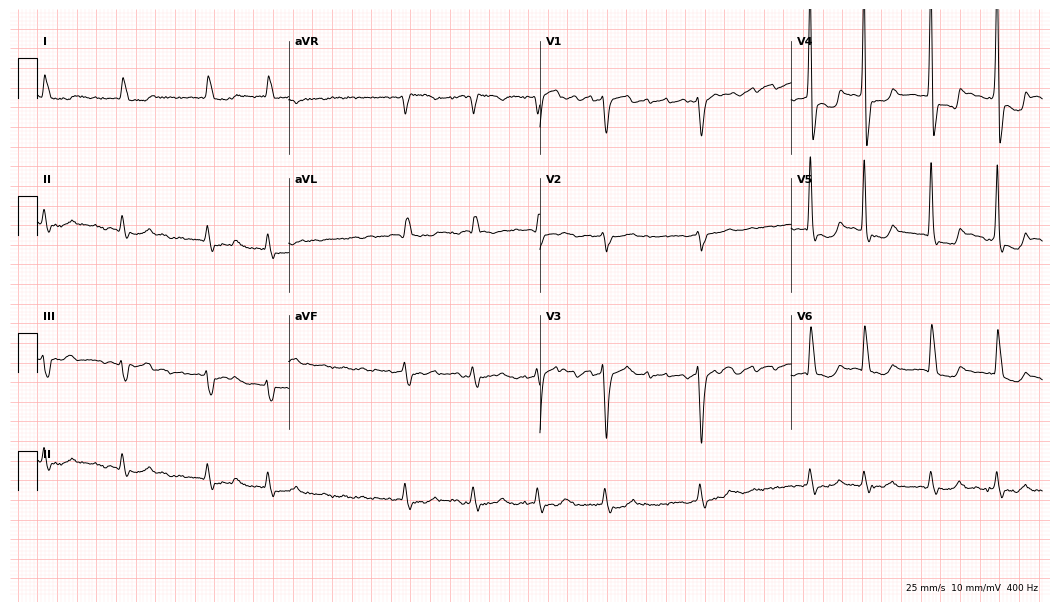
ECG (10.2-second recording at 400 Hz) — a male patient, 73 years old. Findings include atrial fibrillation (AF).